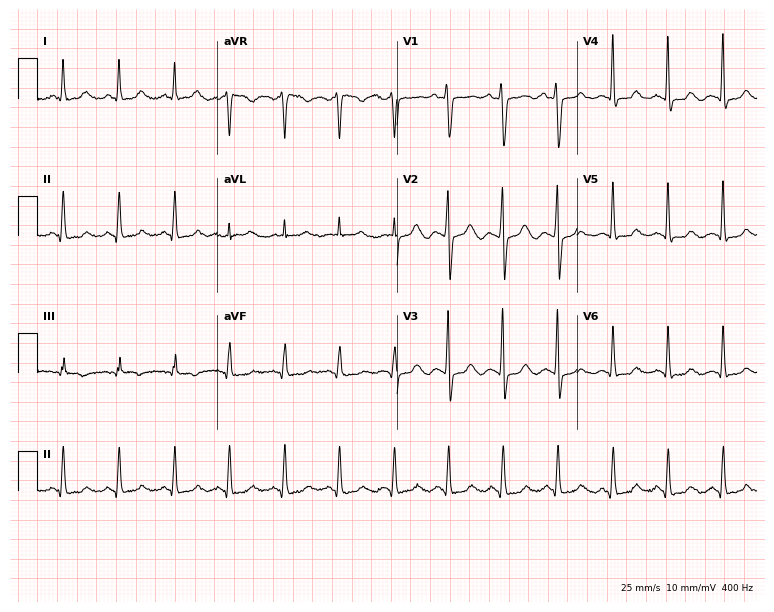
Standard 12-lead ECG recorded from a female patient, 34 years old (7.3-second recording at 400 Hz). The tracing shows sinus tachycardia (a sinus rate of 100 beats per minute or more).